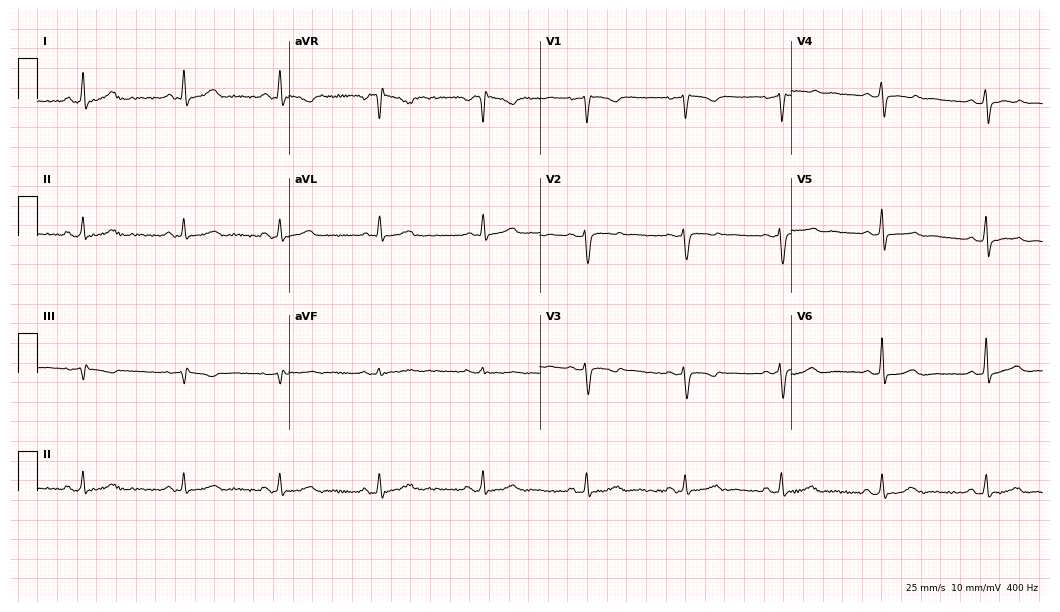
12-lead ECG from a female patient, 32 years old (10.2-second recording at 400 Hz). No first-degree AV block, right bundle branch block (RBBB), left bundle branch block (LBBB), sinus bradycardia, atrial fibrillation (AF) or sinus tachycardia recorded for this tracing. Findings outside these six are not listed.